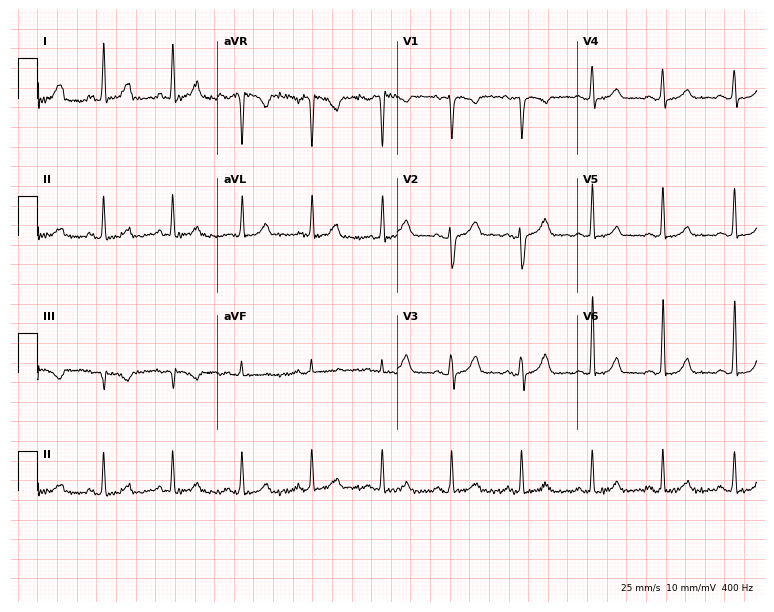
Electrocardiogram, a female patient, 44 years old. Of the six screened findings (first-degree AV block, right bundle branch block (RBBB), left bundle branch block (LBBB), sinus bradycardia, atrial fibrillation (AF), sinus tachycardia), none is recorded.